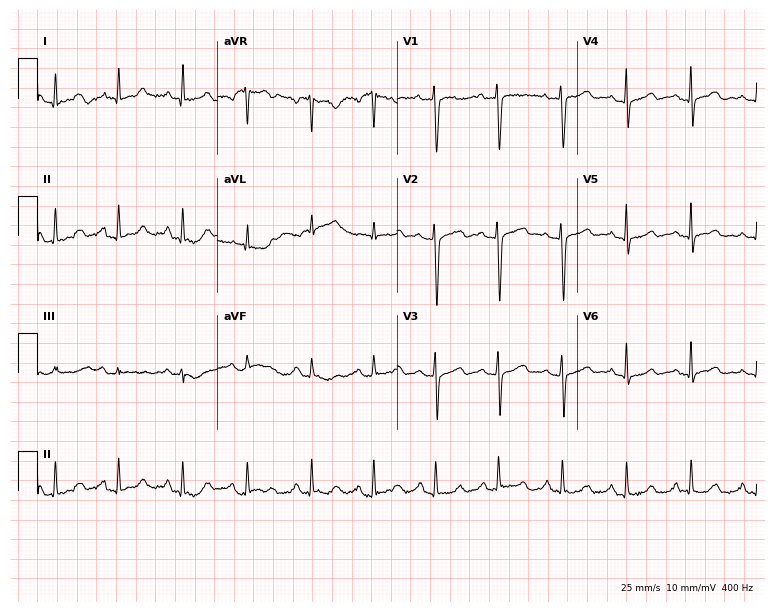
12-lead ECG from a woman, 44 years old (7.3-second recording at 400 Hz). Recorded interpretation: within normal limits.